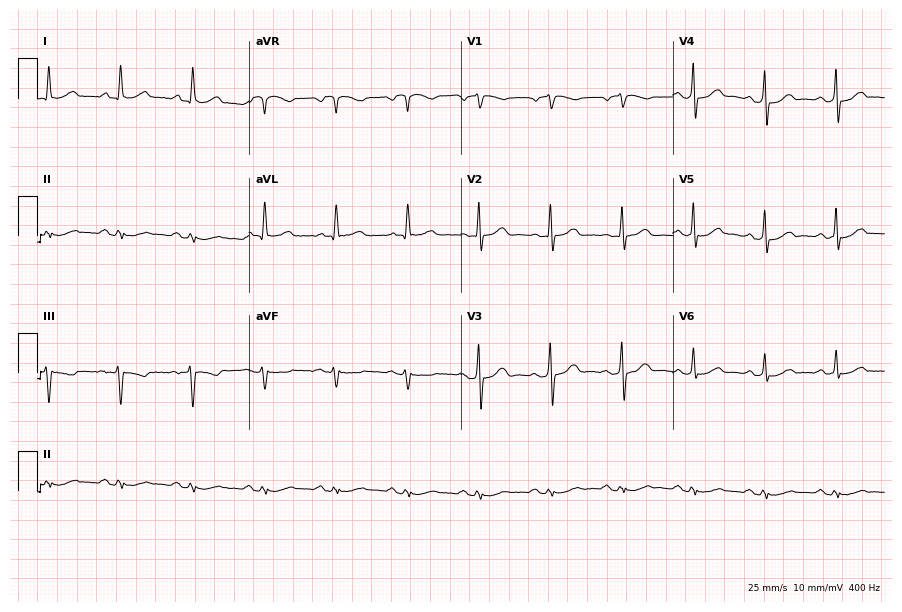
12-lead ECG from a male patient, 82 years old. No first-degree AV block, right bundle branch block (RBBB), left bundle branch block (LBBB), sinus bradycardia, atrial fibrillation (AF) or sinus tachycardia recorded for this tracing. Findings outside these six are not listed.